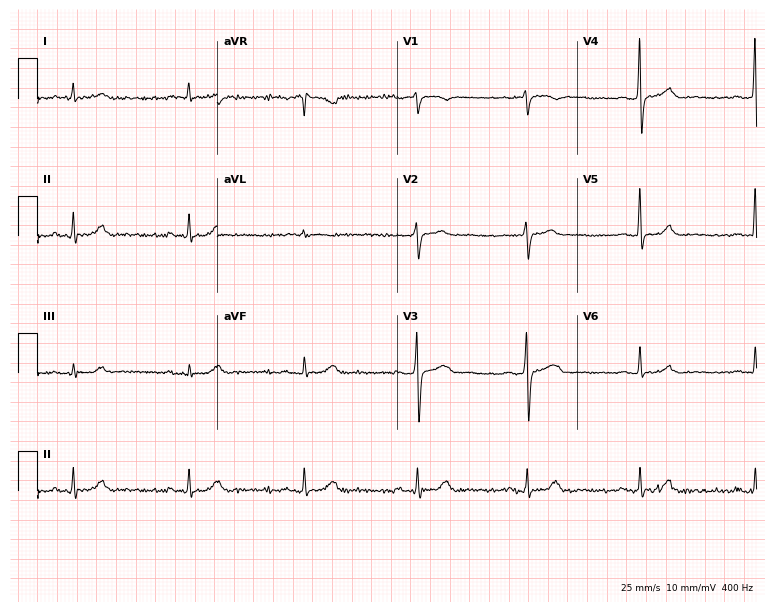
Resting 12-lead electrocardiogram. Patient: a 47-year-old man. None of these six findings is recorded: first-degree AV block, right bundle branch block (RBBB), left bundle branch block (LBBB), sinus bradycardia, atrial fibrillation (AF), sinus tachycardia. Only these six findings were labelled.